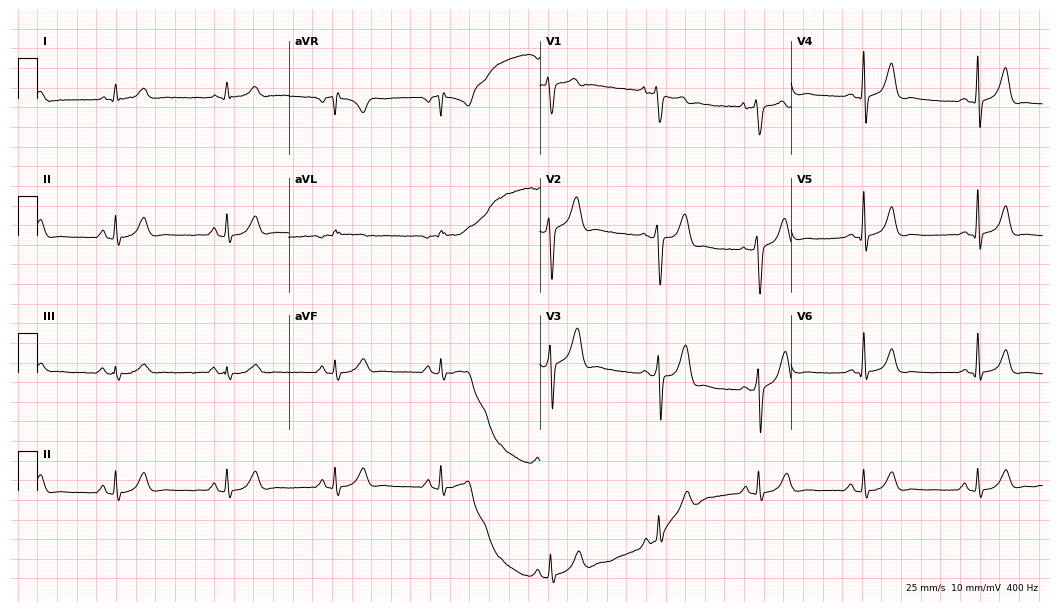
ECG — a male, 26 years old. Labelled as a normal ECG.